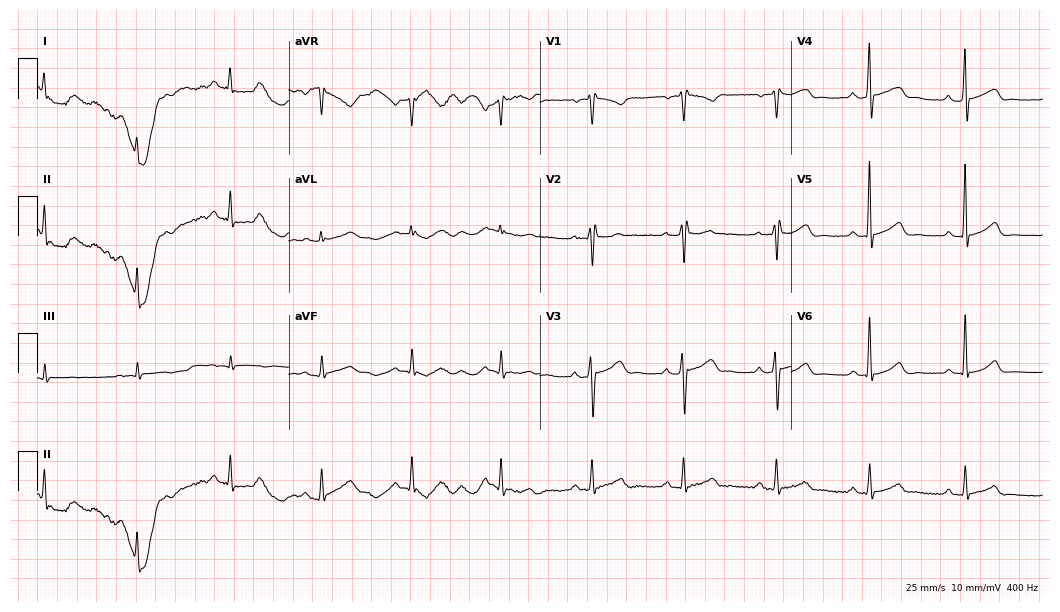
Resting 12-lead electrocardiogram. Patient: a 56-year-old man. Read as a normal ECG.